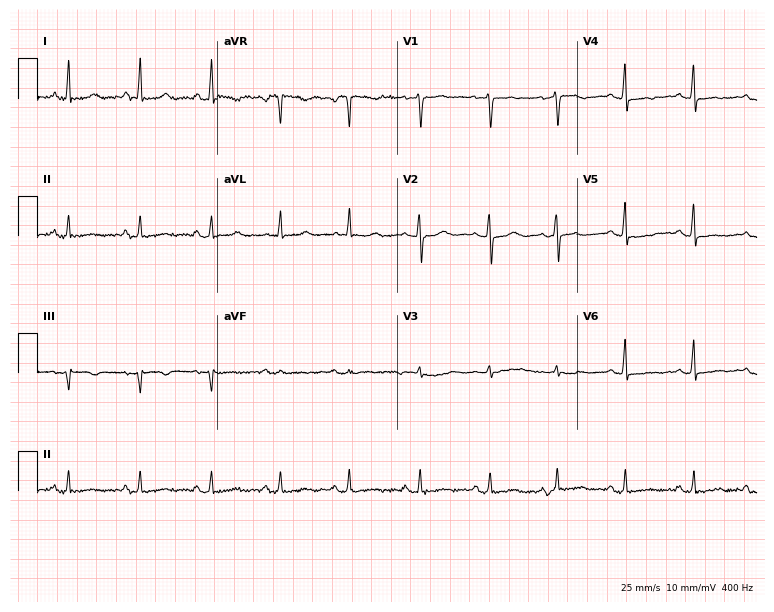
ECG — a female patient, 58 years old. Labelled as a normal ECG.